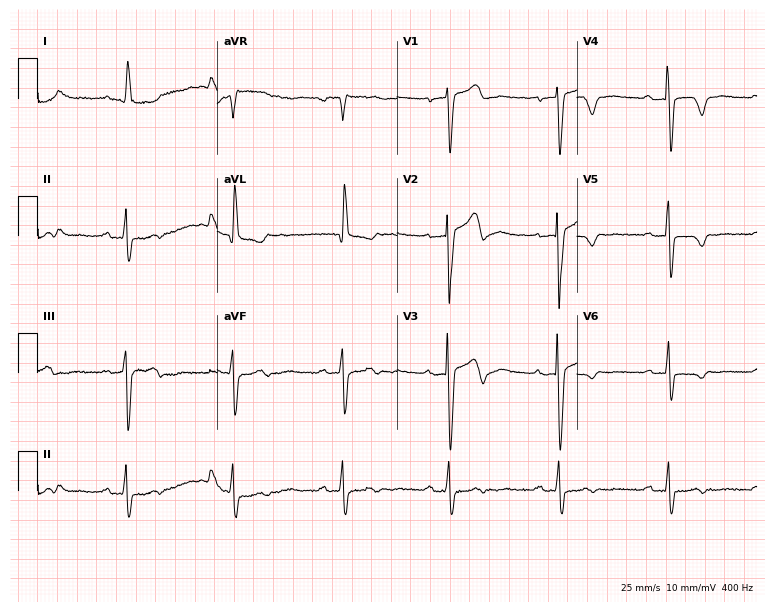
Standard 12-lead ECG recorded from a woman, 85 years old (7.3-second recording at 400 Hz). None of these six findings is recorded: first-degree AV block, right bundle branch block (RBBB), left bundle branch block (LBBB), sinus bradycardia, atrial fibrillation (AF), sinus tachycardia.